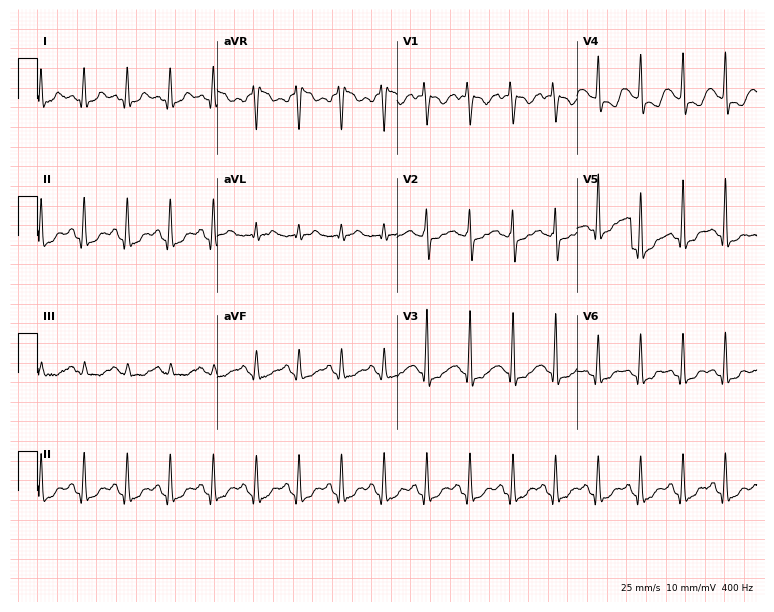
Electrocardiogram, a 47-year-old female. Interpretation includes sinus tachycardia (a sinus rate of 100 beats per minute or more).